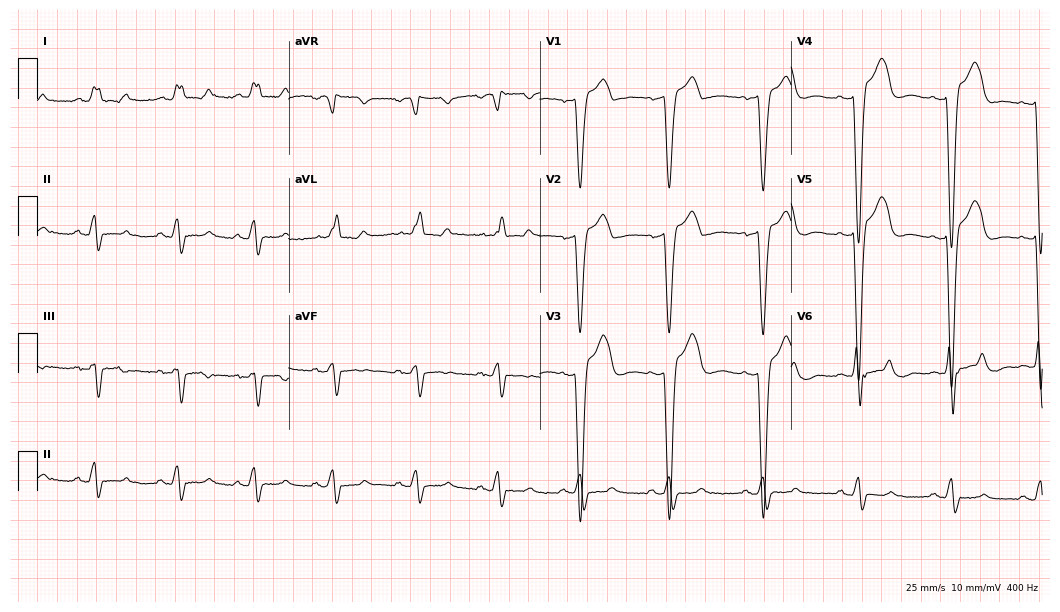
ECG (10.2-second recording at 400 Hz) — a 57-year-old male. Findings include left bundle branch block.